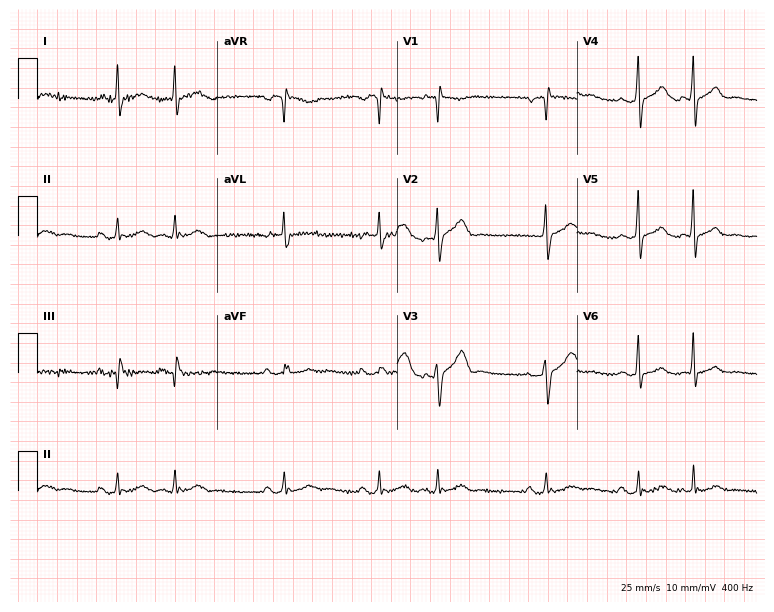
ECG — a 79-year-old man. Screened for six findings — first-degree AV block, right bundle branch block (RBBB), left bundle branch block (LBBB), sinus bradycardia, atrial fibrillation (AF), sinus tachycardia — none is recorded. Other findings, if any, are not listed.